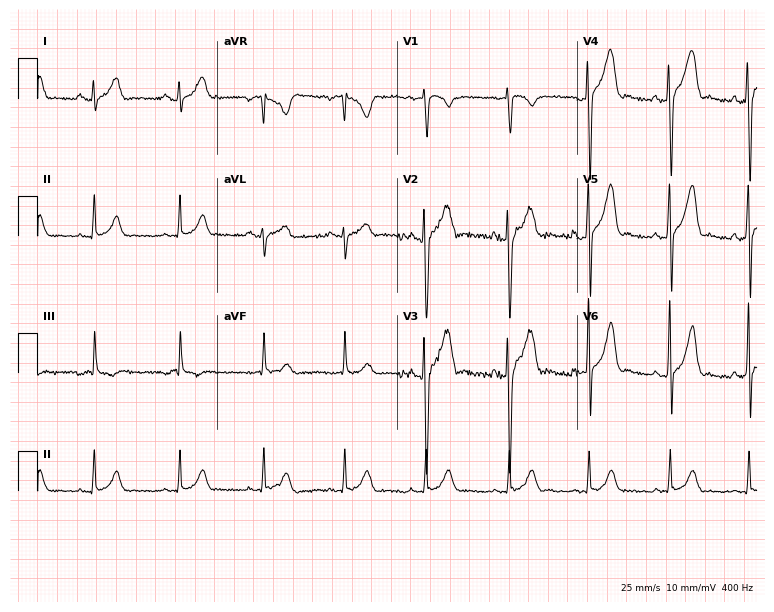
Resting 12-lead electrocardiogram (7.3-second recording at 400 Hz). Patient: a 26-year-old male. None of these six findings is recorded: first-degree AV block, right bundle branch block (RBBB), left bundle branch block (LBBB), sinus bradycardia, atrial fibrillation (AF), sinus tachycardia.